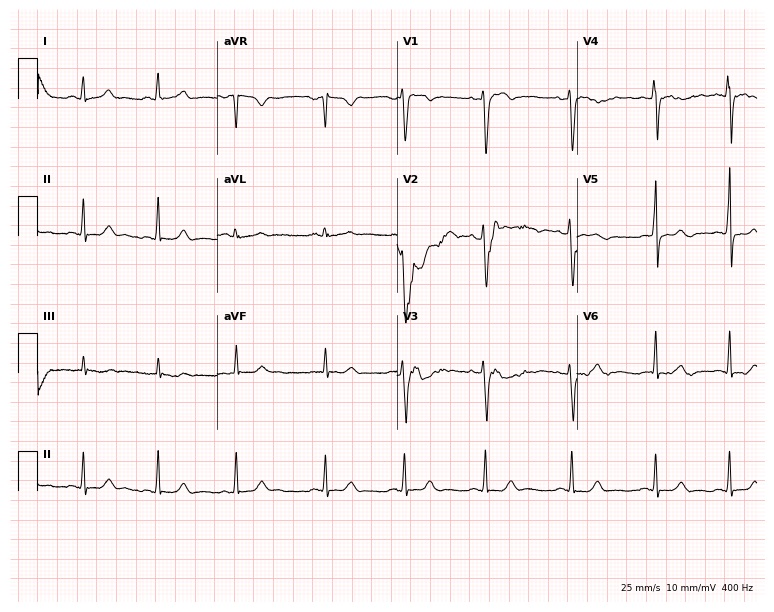
Resting 12-lead electrocardiogram. Patient: a female, 29 years old. None of these six findings is recorded: first-degree AV block, right bundle branch block, left bundle branch block, sinus bradycardia, atrial fibrillation, sinus tachycardia.